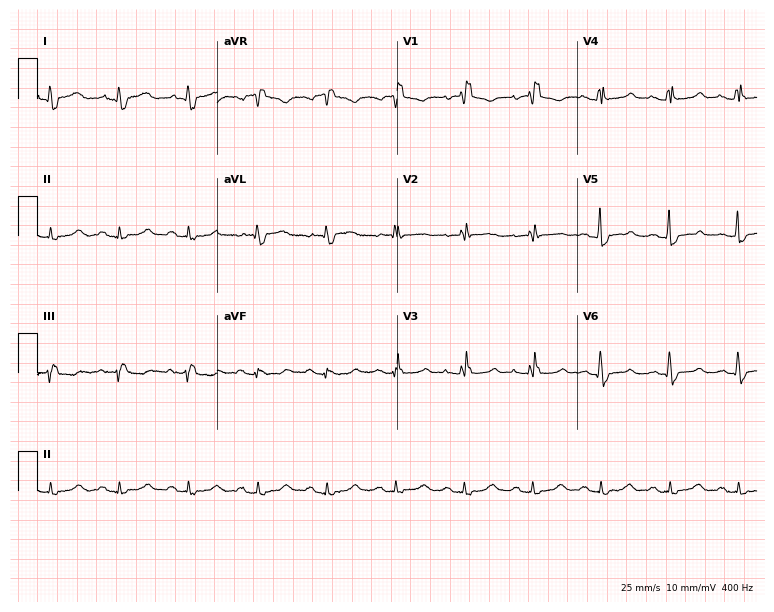
Electrocardiogram (7.3-second recording at 400 Hz), a 71-year-old female. Of the six screened findings (first-degree AV block, right bundle branch block, left bundle branch block, sinus bradycardia, atrial fibrillation, sinus tachycardia), none is recorded. Other findings, if any, are not listed.